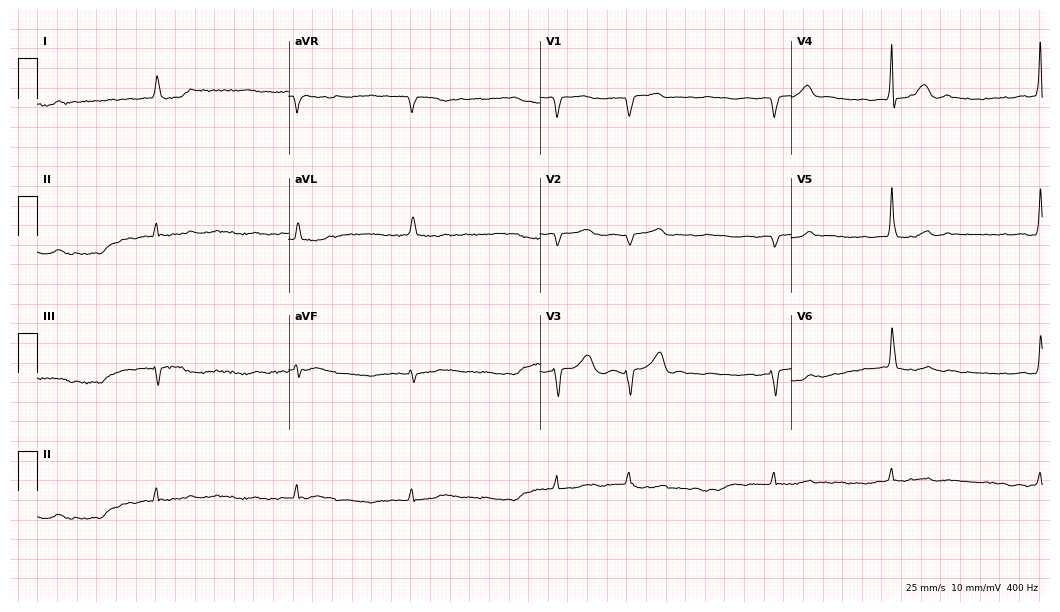
12-lead ECG from an 82-year-old male (10.2-second recording at 400 Hz). Shows atrial fibrillation.